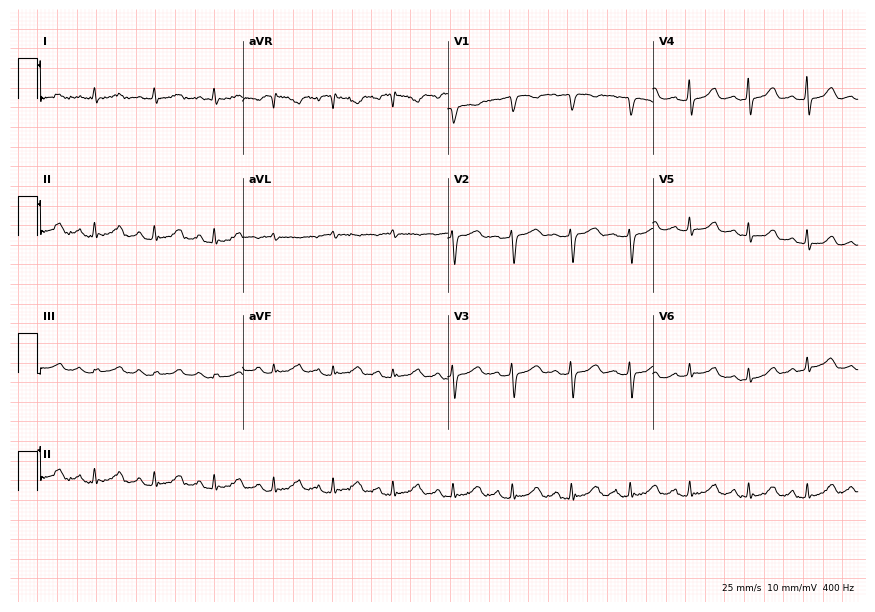
ECG (8.4-second recording at 400 Hz) — a woman, 60 years old. Labelled as a normal ECG.